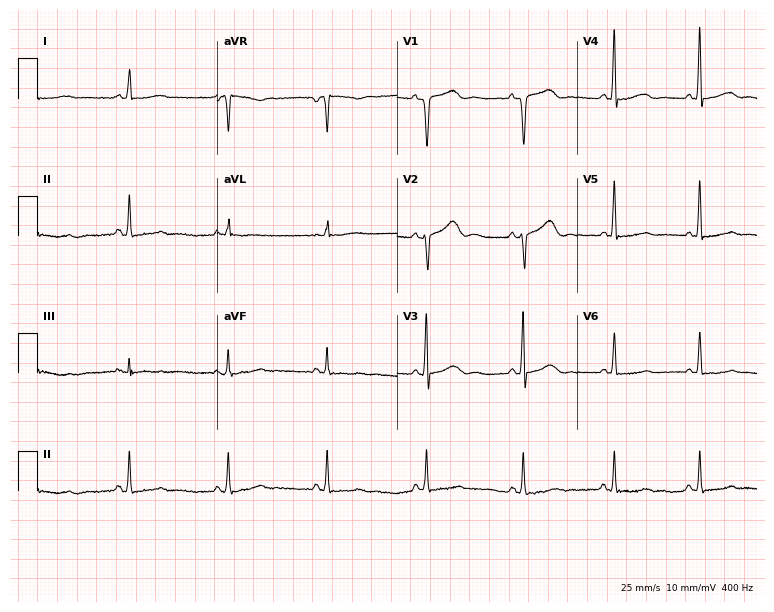
Standard 12-lead ECG recorded from a 41-year-old female. None of these six findings is recorded: first-degree AV block, right bundle branch block, left bundle branch block, sinus bradycardia, atrial fibrillation, sinus tachycardia. Other findings, if any, are not listed.